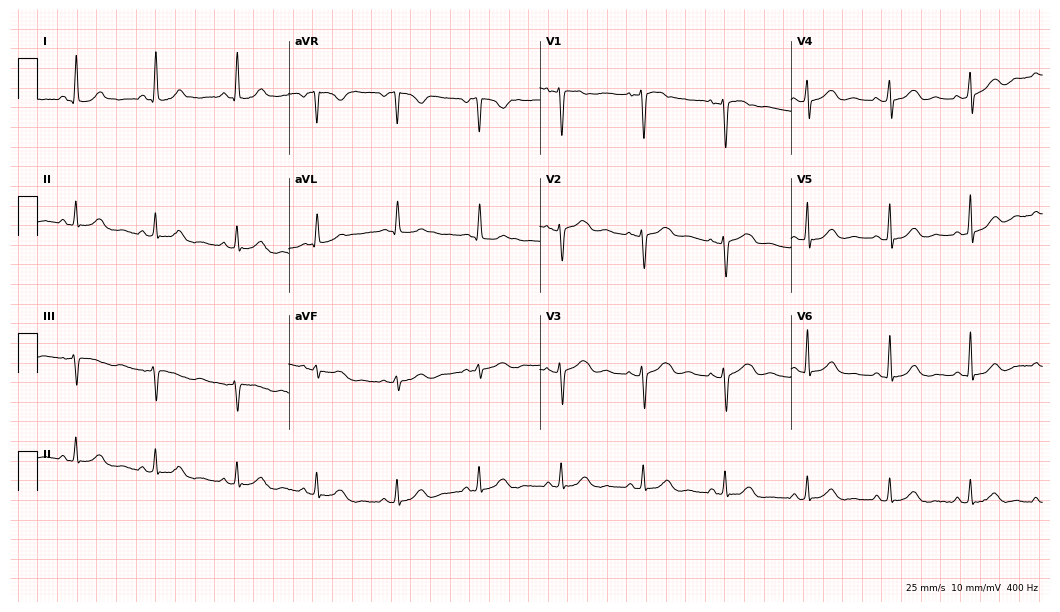
ECG (10.2-second recording at 400 Hz) — a woman, 64 years old. Labelled as a normal ECG.